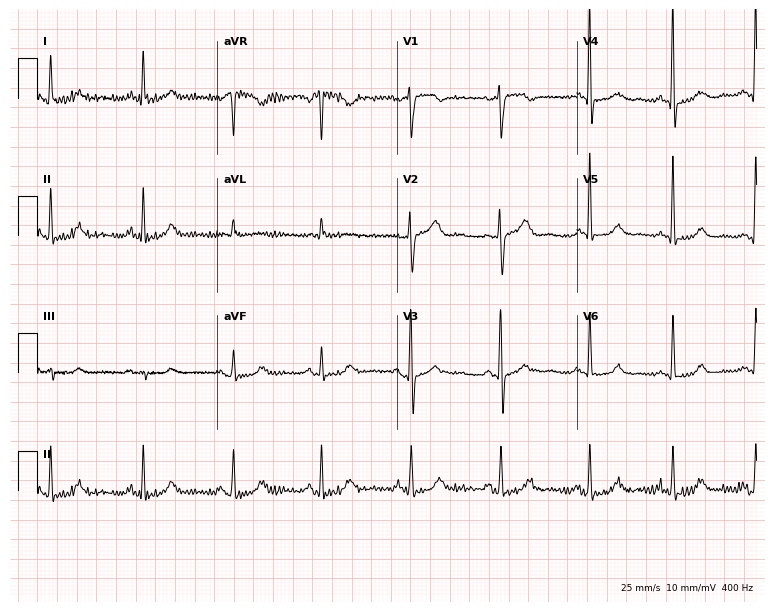
Electrocardiogram (7.3-second recording at 400 Hz), a 49-year-old female. Of the six screened findings (first-degree AV block, right bundle branch block, left bundle branch block, sinus bradycardia, atrial fibrillation, sinus tachycardia), none is recorded.